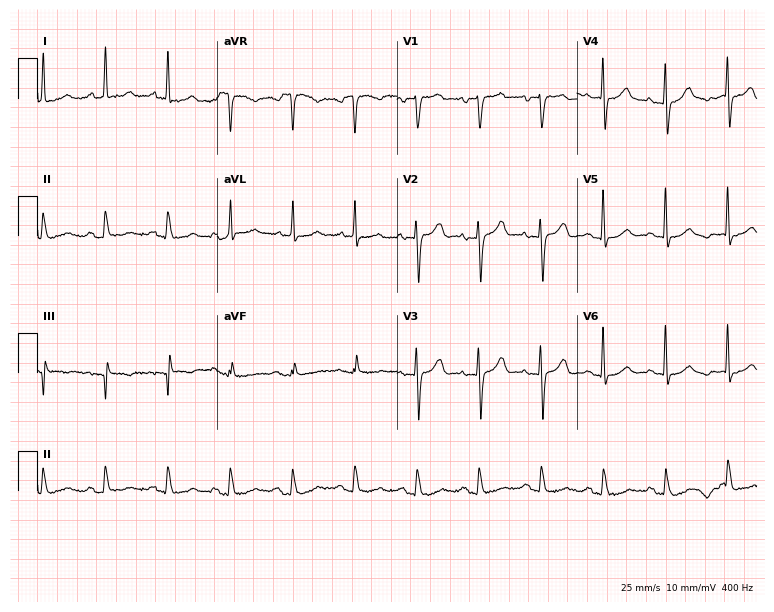
12-lead ECG from a woman, 82 years old. Labelled as a normal ECG.